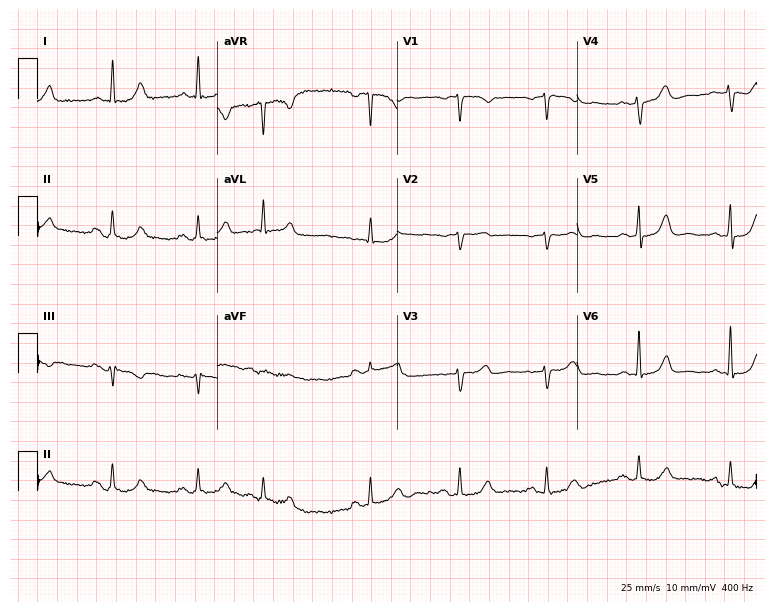
Standard 12-lead ECG recorded from a female patient, 65 years old. None of these six findings is recorded: first-degree AV block, right bundle branch block (RBBB), left bundle branch block (LBBB), sinus bradycardia, atrial fibrillation (AF), sinus tachycardia. Only these six findings were labelled.